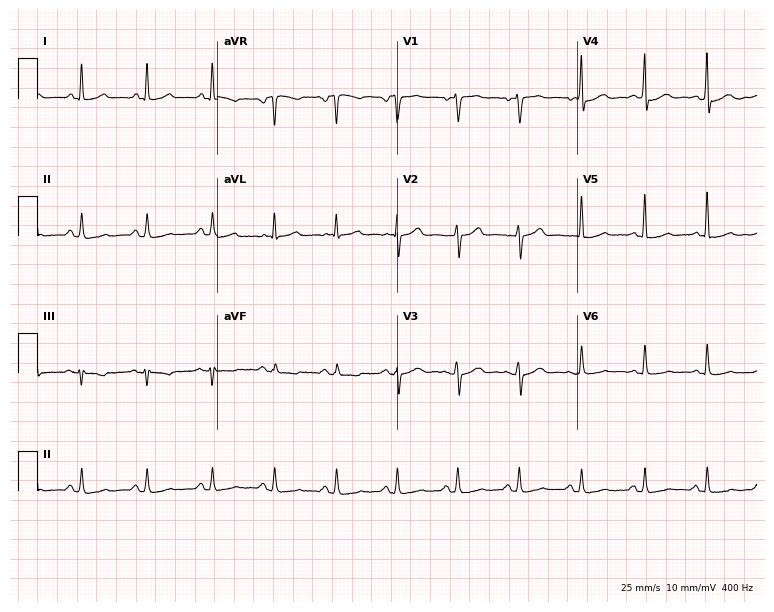
Electrocardiogram (7.3-second recording at 400 Hz), a female patient, 59 years old. Of the six screened findings (first-degree AV block, right bundle branch block (RBBB), left bundle branch block (LBBB), sinus bradycardia, atrial fibrillation (AF), sinus tachycardia), none is recorded. Other findings, if any, are not listed.